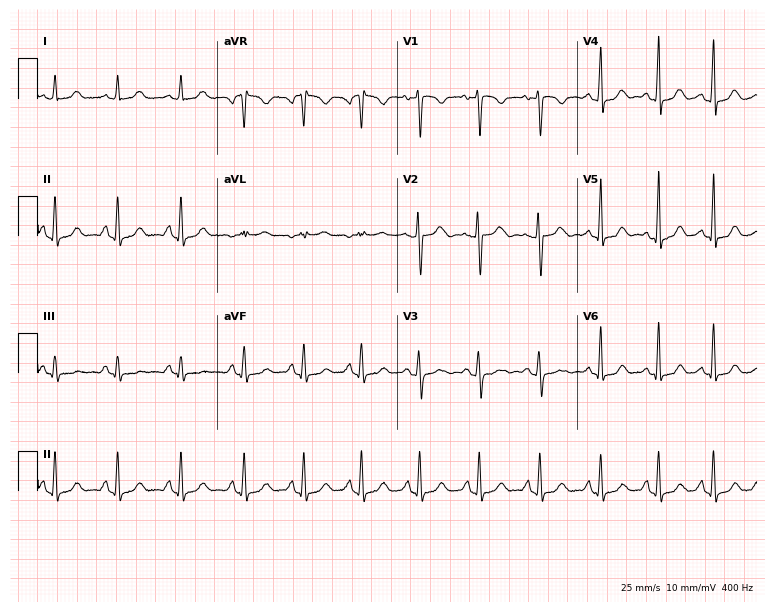
Standard 12-lead ECG recorded from a 34-year-old female (7.3-second recording at 400 Hz). None of these six findings is recorded: first-degree AV block, right bundle branch block, left bundle branch block, sinus bradycardia, atrial fibrillation, sinus tachycardia. Findings outside these six are not listed.